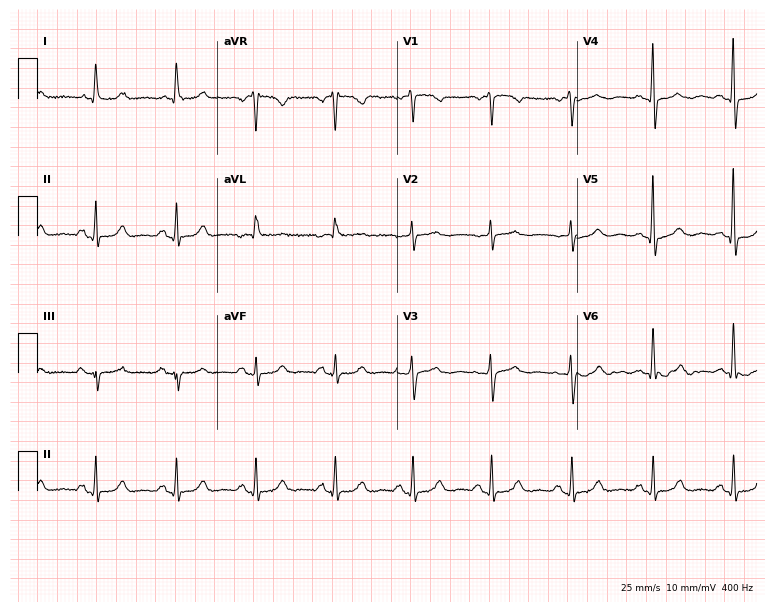
Resting 12-lead electrocardiogram. Patient: a female, 68 years old. None of these six findings is recorded: first-degree AV block, right bundle branch block (RBBB), left bundle branch block (LBBB), sinus bradycardia, atrial fibrillation (AF), sinus tachycardia.